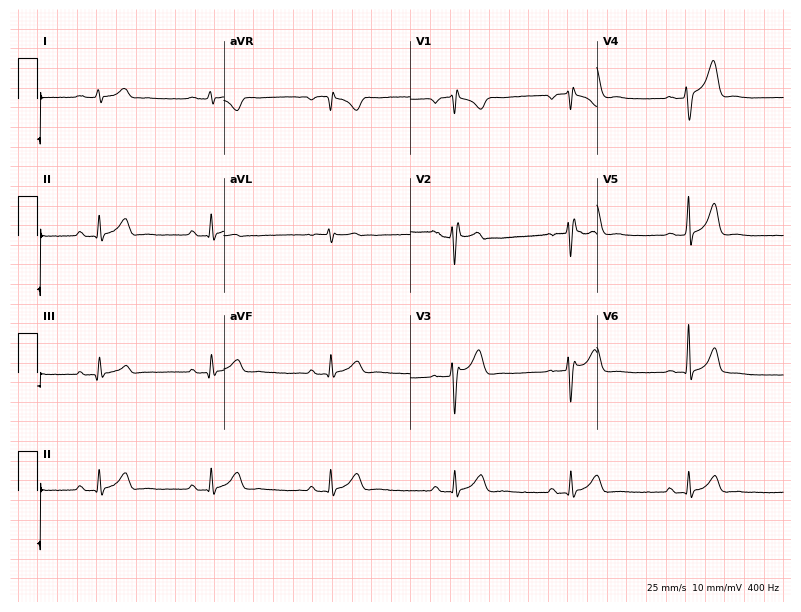
Electrocardiogram (7.6-second recording at 400 Hz), a man, 27 years old. Of the six screened findings (first-degree AV block, right bundle branch block, left bundle branch block, sinus bradycardia, atrial fibrillation, sinus tachycardia), none is recorded. Only these six findings were labelled.